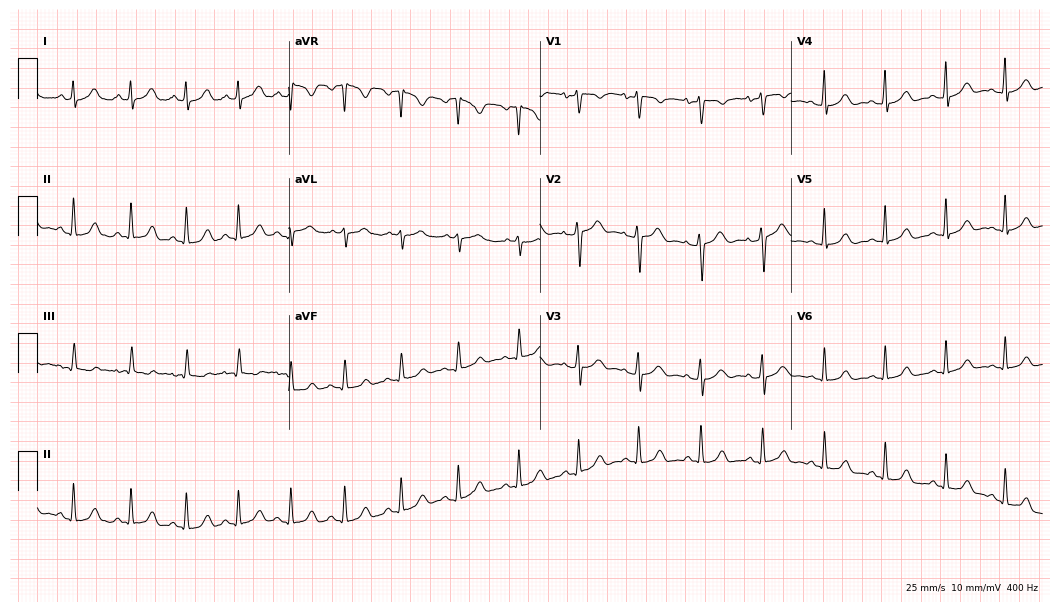
12-lead ECG from a 27-year-old female. Findings include sinus tachycardia (a sinus rate of 100 beats per minute or more).